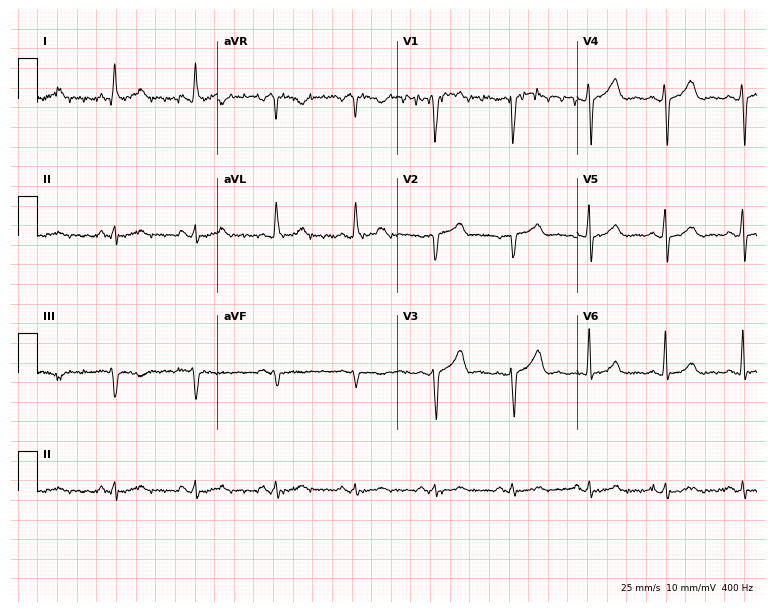
12-lead ECG from a 46-year-old female. Screened for six findings — first-degree AV block, right bundle branch block, left bundle branch block, sinus bradycardia, atrial fibrillation, sinus tachycardia — none is recorded. Only these six findings were labelled.